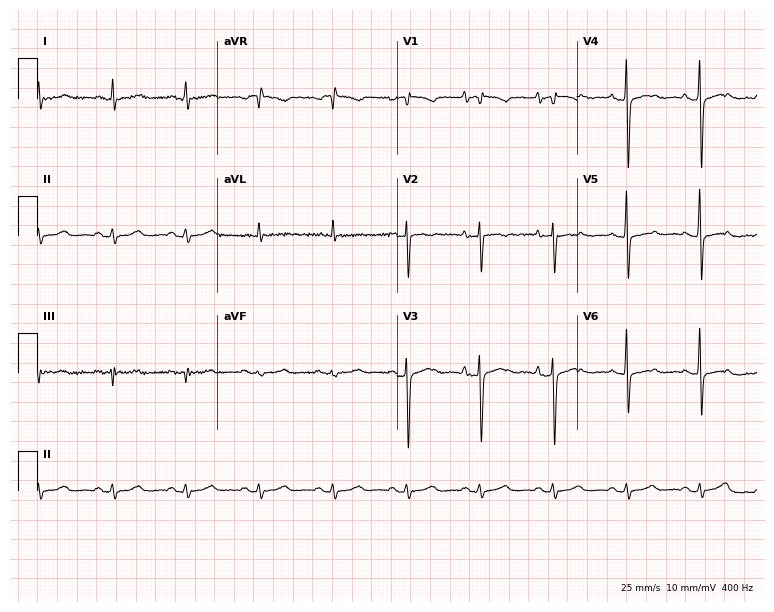
ECG — a 64-year-old man. Screened for six findings — first-degree AV block, right bundle branch block, left bundle branch block, sinus bradycardia, atrial fibrillation, sinus tachycardia — none is recorded. Only these six findings were labelled.